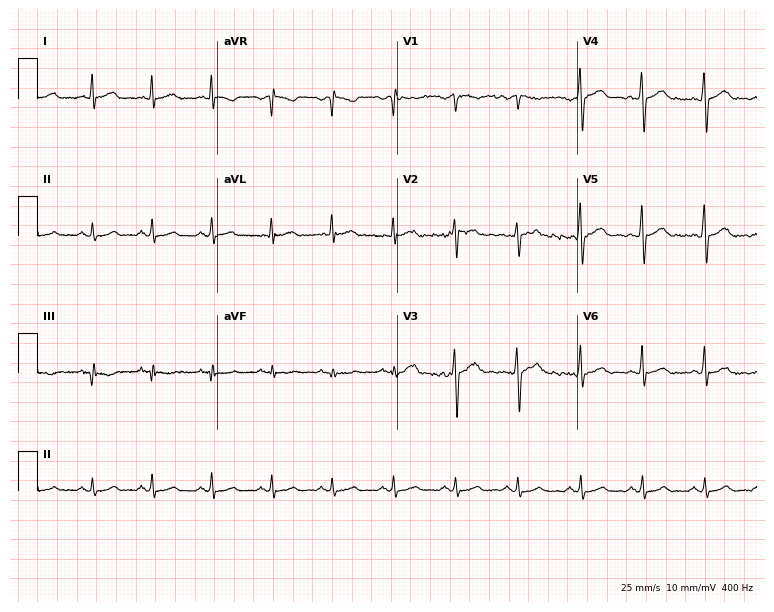
Electrocardiogram, a 44-year-old male patient. Overall reading on record: normal ECG.